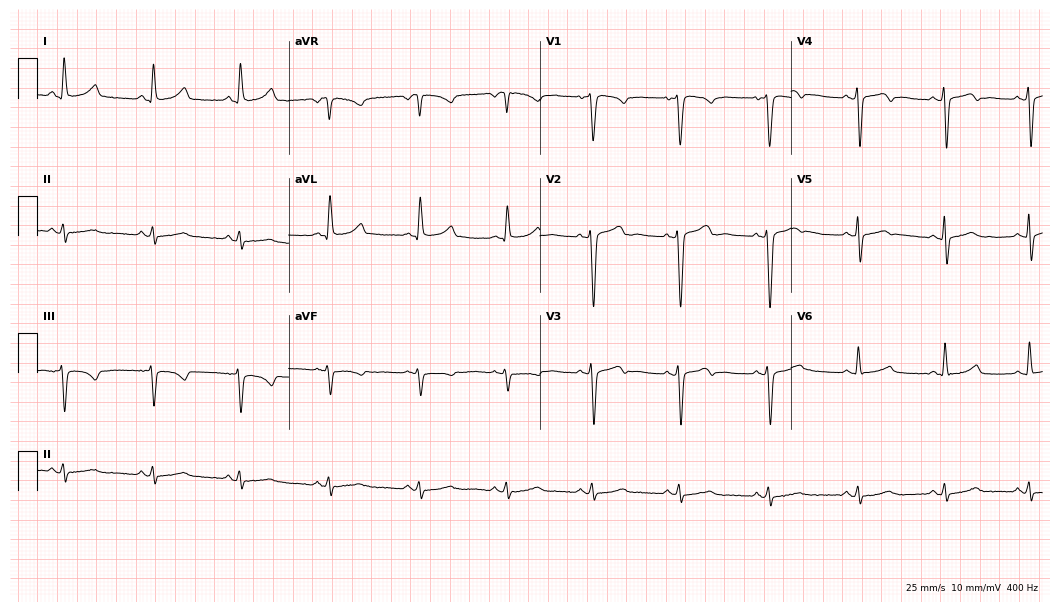
12-lead ECG from a female, 48 years old (10.2-second recording at 400 Hz). No first-degree AV block, right bundle branch block, left bundle branch block, sinus bradycardia, atrial fibrillation or sinus tachycardia recorded for this tracing.